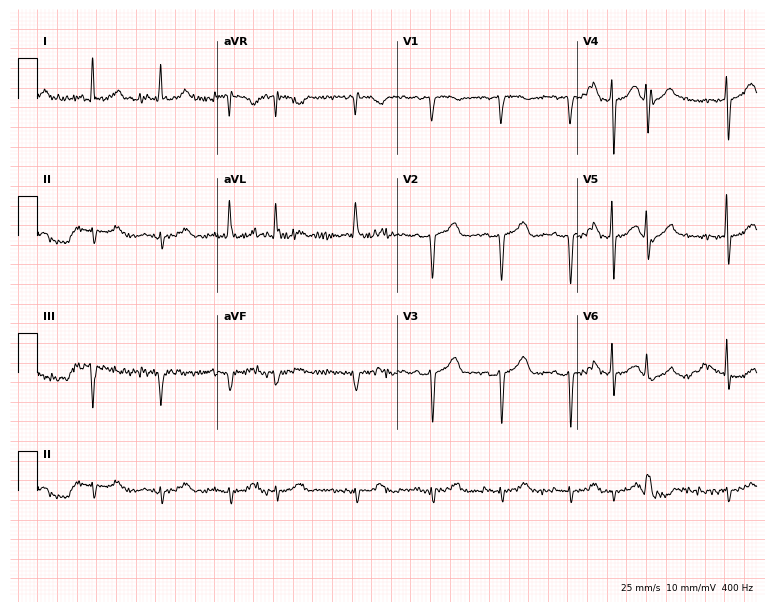
12-lead ECG from a male patient, 86 years old (7.3-second recording at 400 Hz). No first-degree AV block, right bundle branch block (RBBB), left bundle branch block (LBBB), sinus bradycardia, atrial fibrillation (AF) or sinus tachycardia recorded for this tracing. Other findings, if any, are not listed.